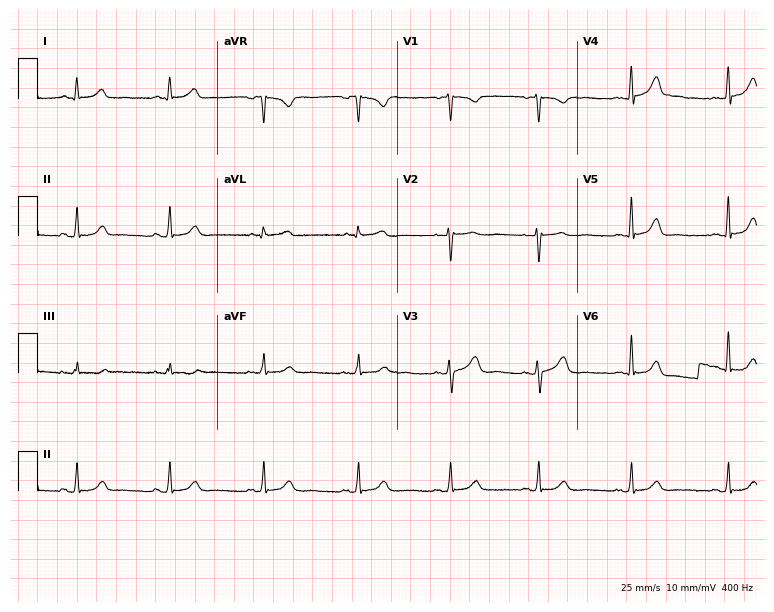
Standard 12-lead ECG recorded from a female patient, 39 years old (7.3-second recording at 400 Hz). Read as a normal ECG.